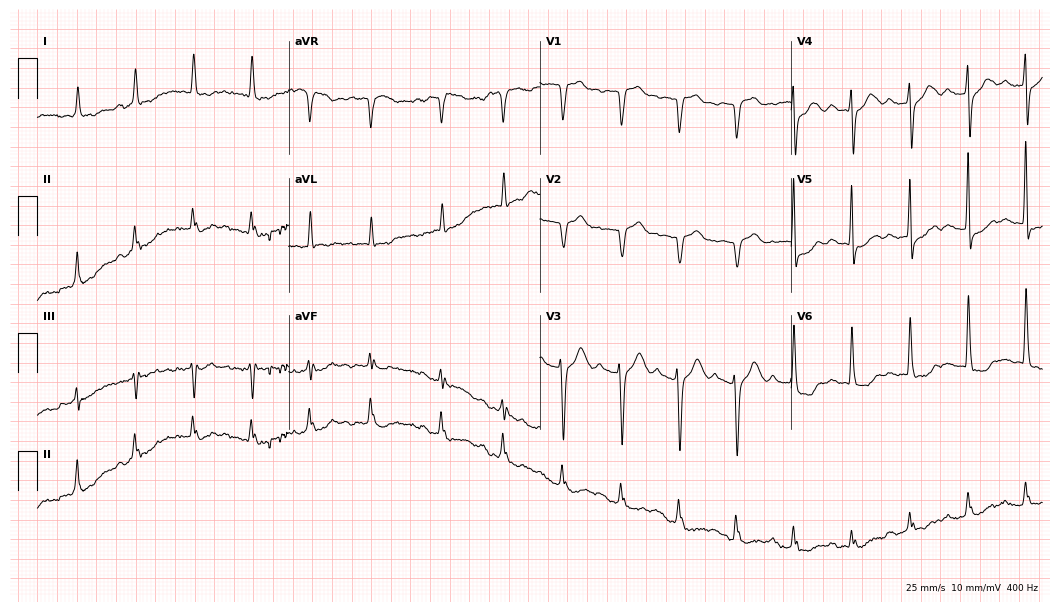
ECG — a male, 86 years old. Findings include first-degree AV block.